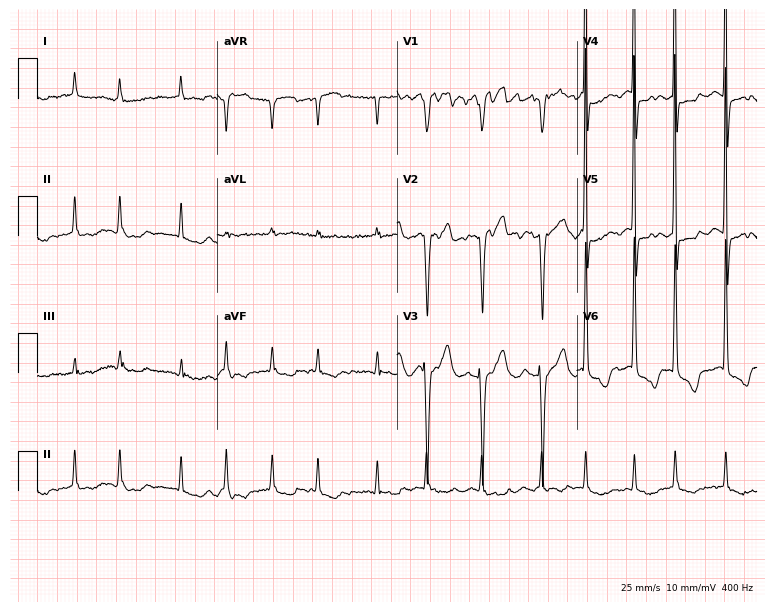
Standard 12-lead ECG recorded from an 82-year-old female patient (7.3-second recording at 400 Hz). The tracing shows atrial fibrillation (AF).